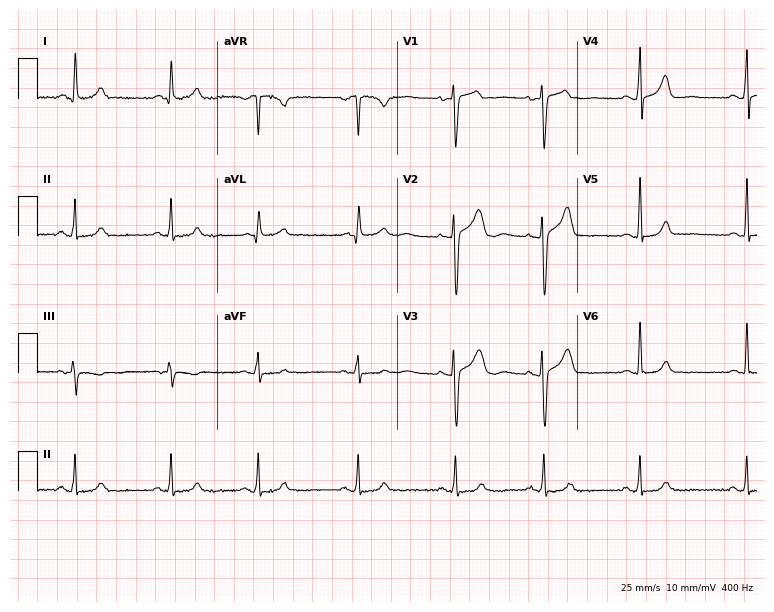
12-lead ECG from a 46-year-old woman. Recorded interpretation: within normal limits.